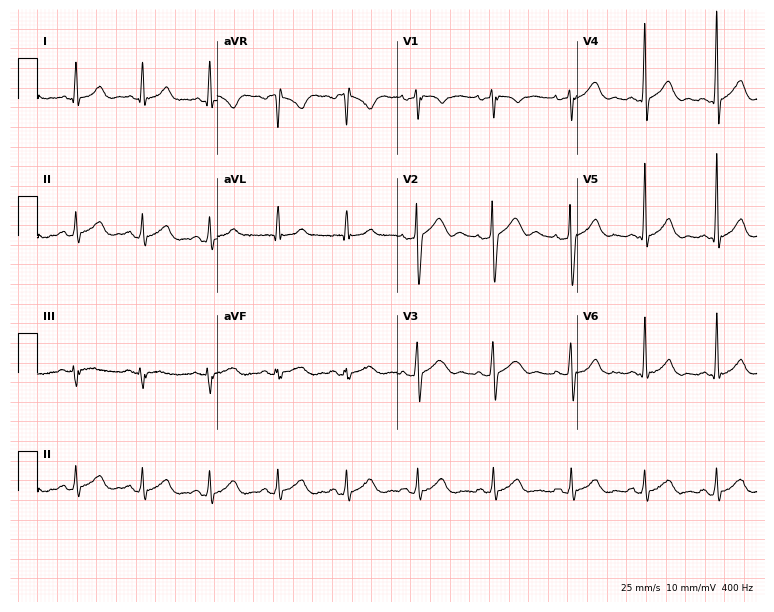
Standard 12-lead ECG recorded from a male, 40 years old (7.3-second recording at 400 Hz). Read as a normal ECG.